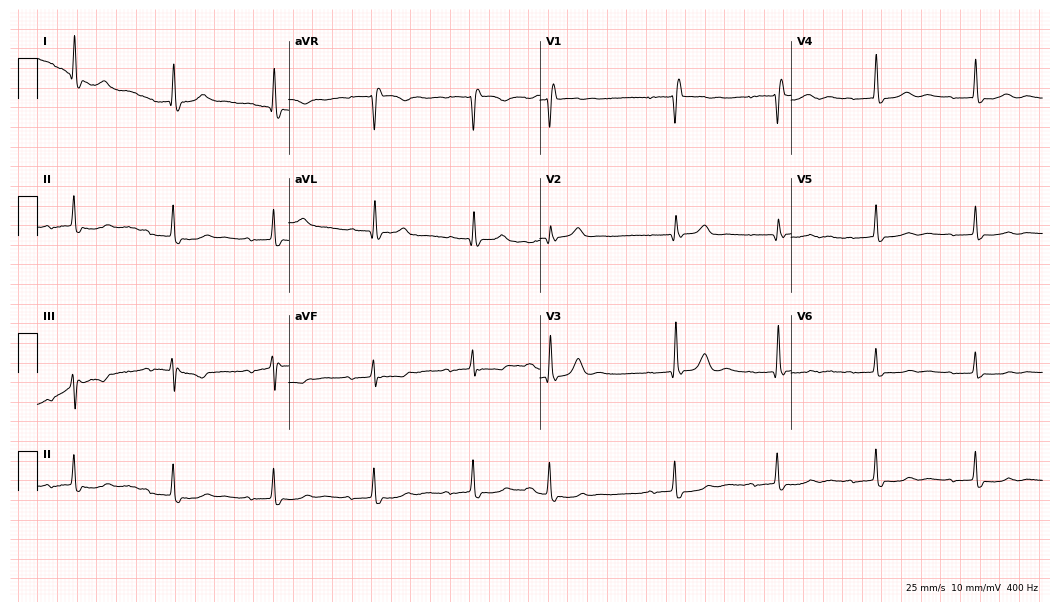
12-lead ECG from a female, 83 years old (10.2-second recording at 400 Hz). Shows first-degree AV block, right bundle branch block (RBBB).